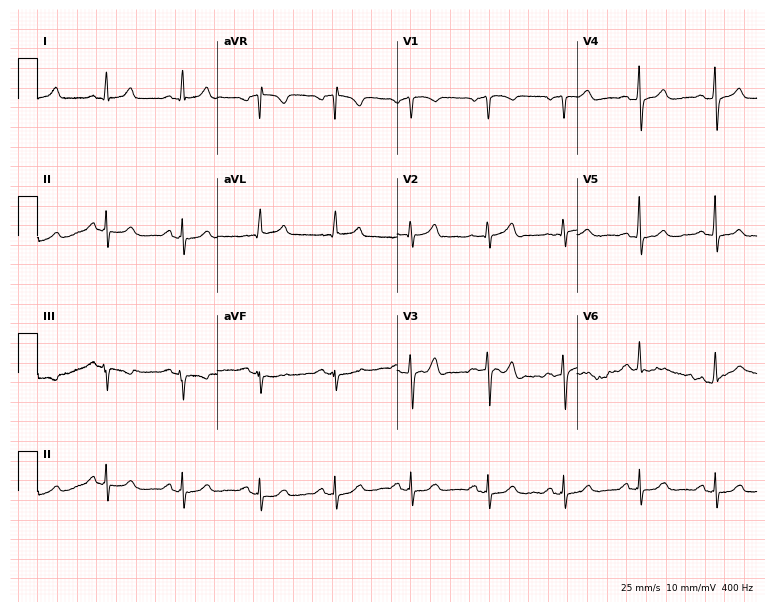
Resting 12-lead electrocardiogram. Patient: a male, 61 years old. Read as a normal ECG.